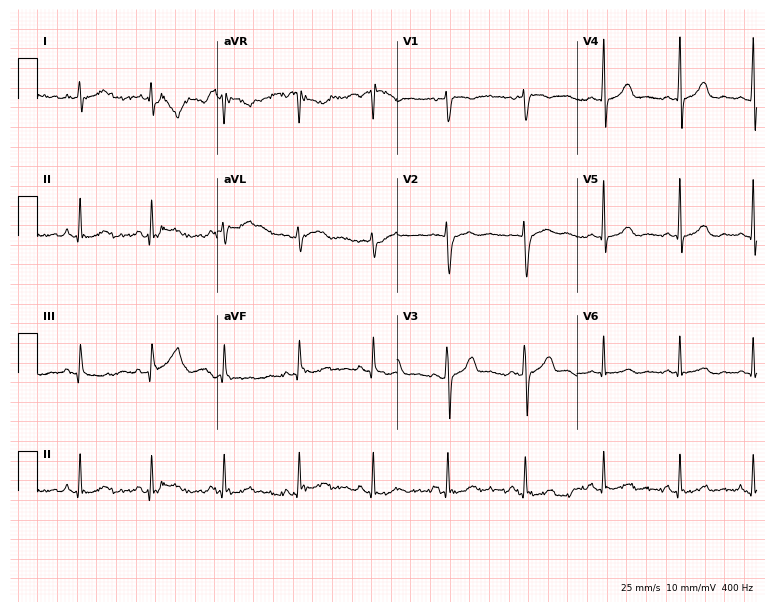
Resting 12-lead electrocardiogram. Patient: a 40-year-old man. Read as a normal ECG.